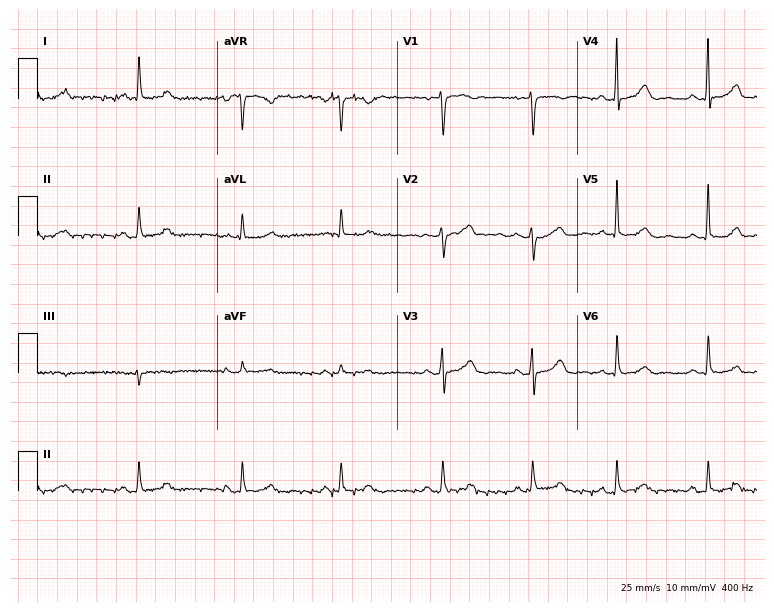
12-lead ECG from a 66-year-old female. Recorded interpretation: within normal limits.